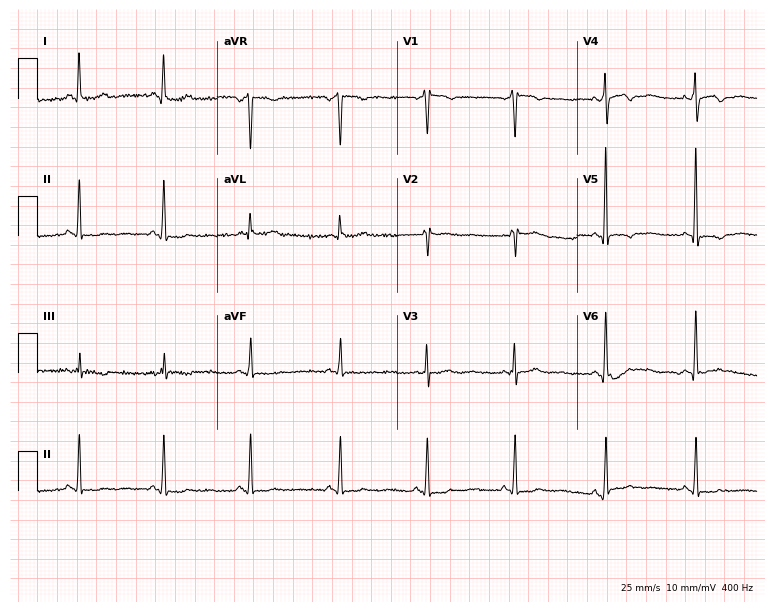
12-lead ECG from a female patient, 51 years old (7.3-second recording at 400 Hz). No first-degree AV block, right bundle branch block, left bundle branch block, sinus bradycardia, atrial fibrillation or sinus tachycardia recorded for this tracing.